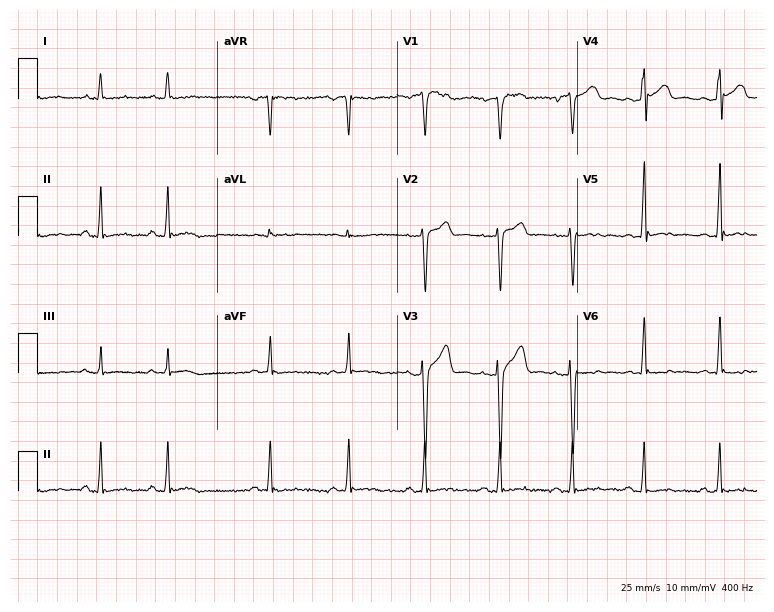
Resting 12-lead electrocardiogram (7.3-second recording at 400 Hz). Patient: a 26-year-old male. None of these six findings is recorded: first-degree AV block, right bundle branch block (RBBB), left bundle branch block (LBBB), sinus bradycardia, atrial fibrillation (AF), sinus tachycardia.